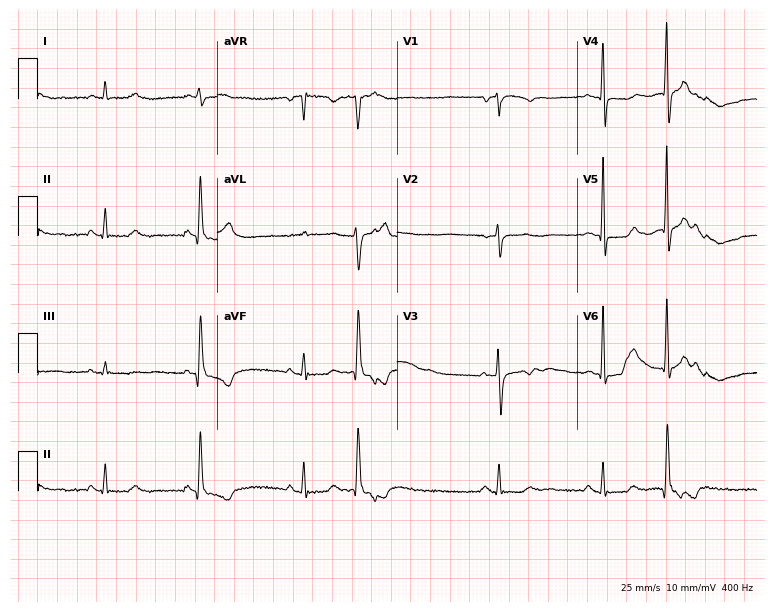
12-lead ECG from a 75-year-old woman (7.3-second recording at 400 Hz). No first-degree AV block, right bundle branch block, left bundle branch block, sinus bradycardia, atrial fibrillation or sinus tachycardia recorded for this tracing.